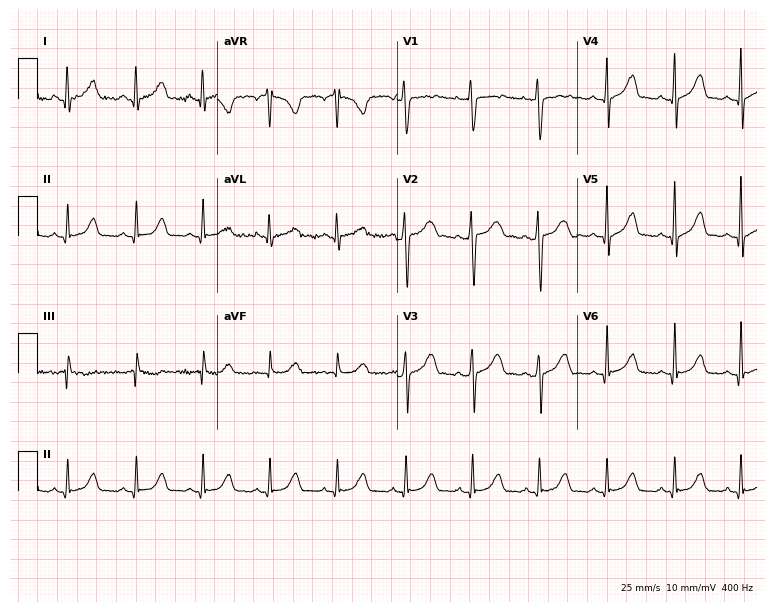
ECG — a 22-year-old woman. Labelled as a normal ECG.